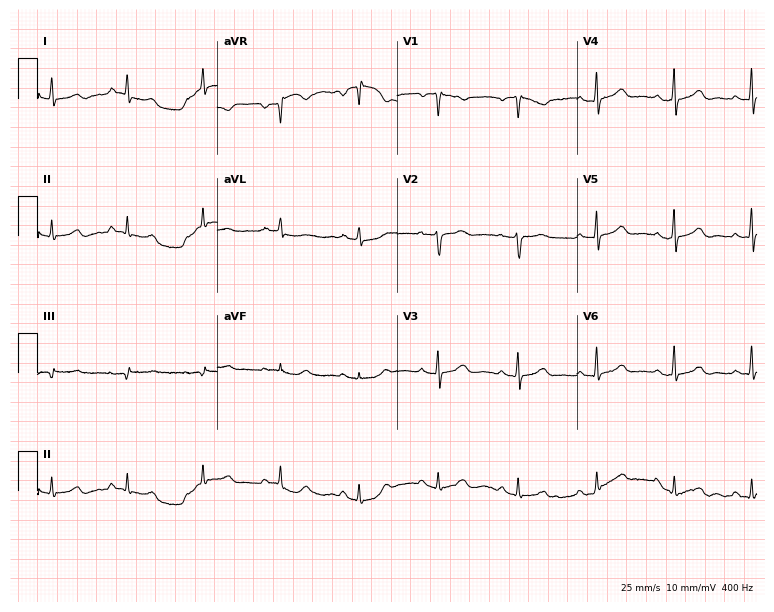
Resting 12-lead electrocardiogram (7.3-second recording at 400 Hz). Patient: a female, 41 years old. None of these six findings is recorded: first-degree AV block, right bundle branch block, left bundle branch block, sinus bradycardia, atrial fibrillation, sinus tachycardia.